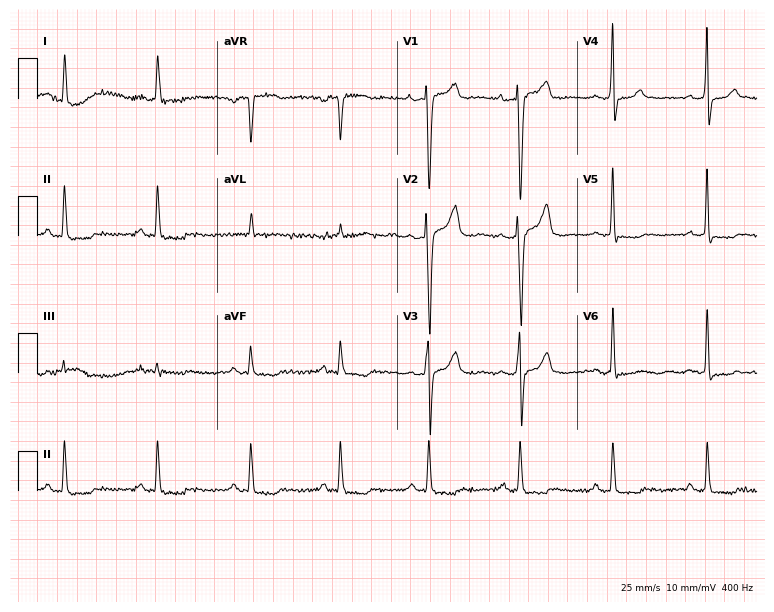
Standard 12-lead ECG recorded from a male patient, 73 years old (7.3-second recording at 400 Hz). None of these six findings is recorded: first-degree AV block, right bundle branch block (RBBB), left bundle branch block (LBBB), sinus bradycardia, atrial fibrillation (AF), sinus tachycardia.